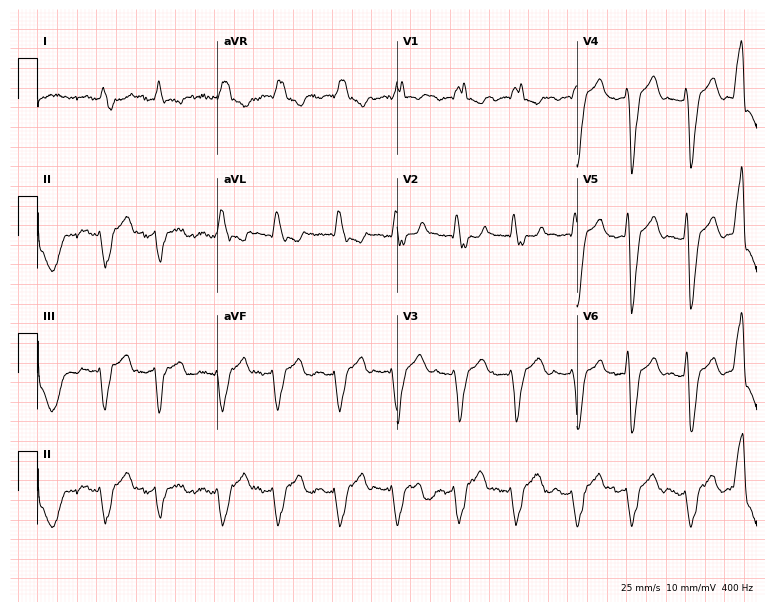
ECG (7.3-second recording at 400 Hz) — a male, 67 years old. Screened for six findings — first-degree AV block, right bundle branch block (RBBB), left bundle branch block (LBBB), sinus bradycardia, atrial fibrillation (AF), sinus tachycardia — none is recorded.